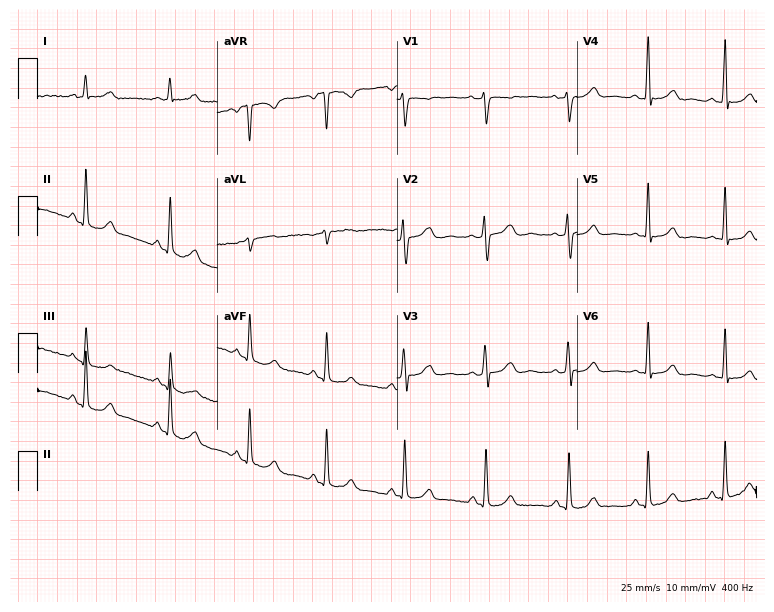
Electrocardiogram (7.3-second recording at 400 Hz), a female, 26 years old. Of the six screened findings (first-degree AV block, right bundle branch block (RBBB), left bundle branch block (LBBB), sinus bradycardia, atrial fibrillation (AF), sinus tachycardia), none is recorded. Other findings, if any, are not listed.